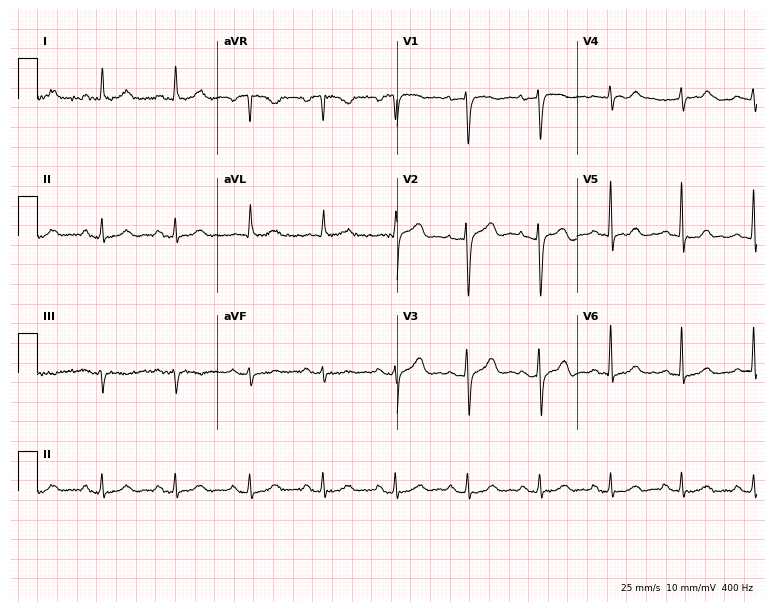
12-lead ECG from an 85-year-old male patient (7.3-second recording at 400 Hz). No first-degree AV block, right bundle branch block (RBBB), left bundle branch block (LBBB), sinus bradycardia, atrial fibrillation (AF) or sinus tachycardia recorded for this tracing.